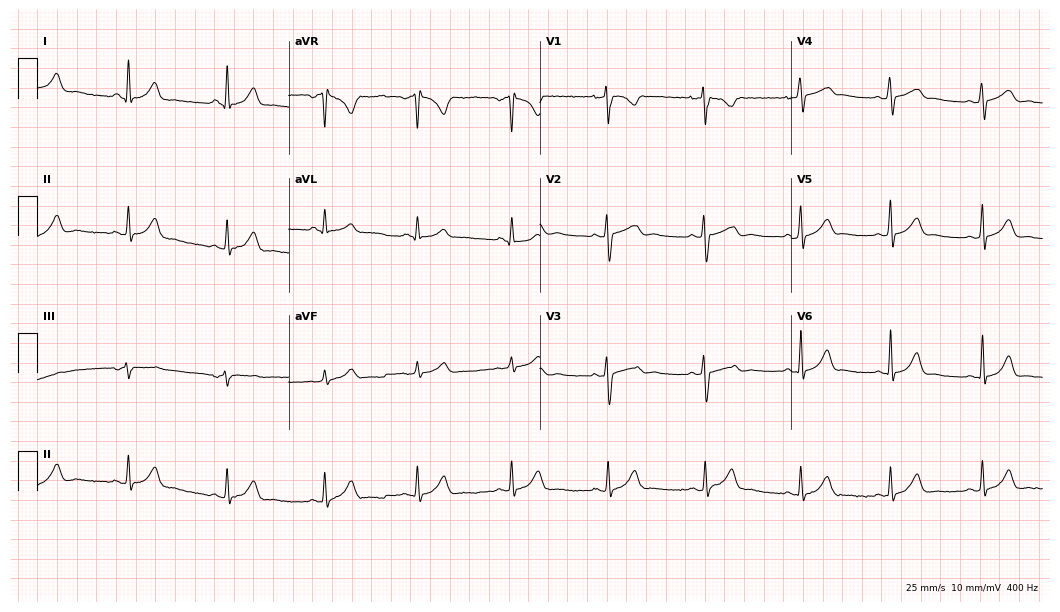
12-lead ECG from a female, 28 years old. Labelled as a normal ECG.